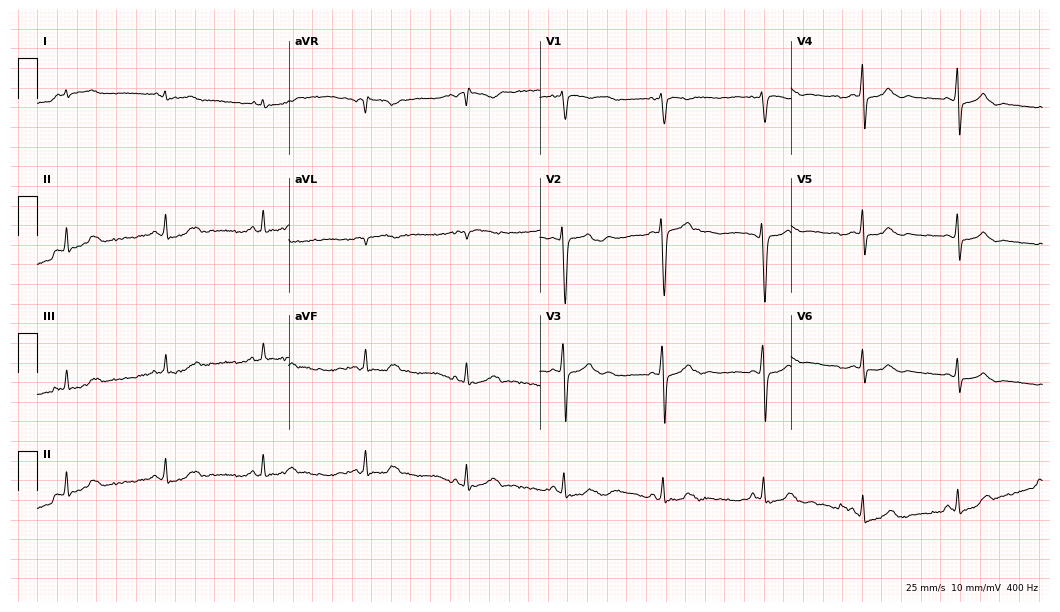
Standard 12-lead ECG recorded from a female, 32 years old (10.2-second recording at 400 Hz). None of these six findings is recorded: first-degree AV block, right bundle branch block, left bundle branch block, sinus bradycardia, atrial fibrillation, sinus tachycardia.